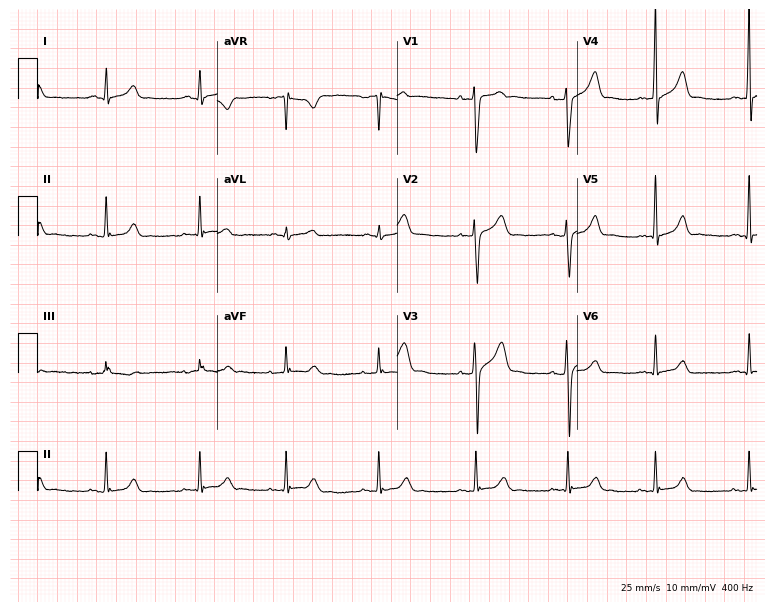
Standard 12-lead ECG recorded from a 22-year-old male patient (7.3-second recording at 400 Hz). Read as a normal ECG.